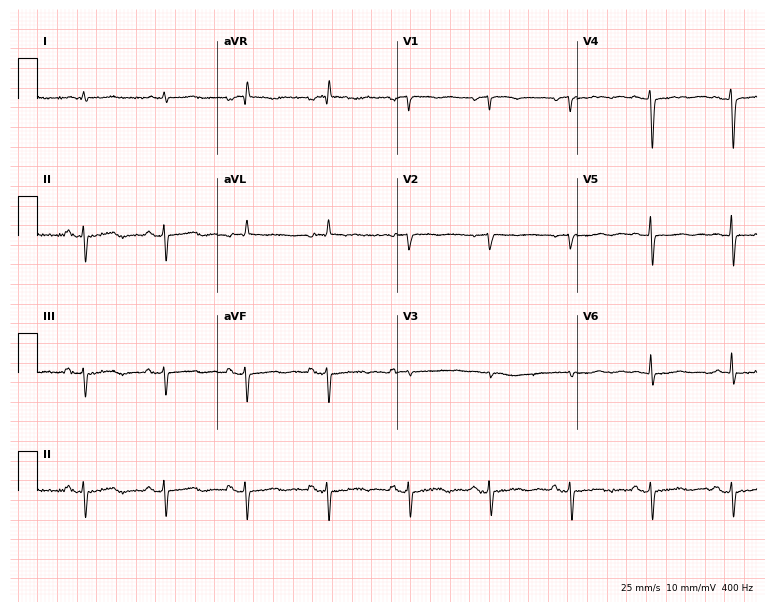
Electrocardiogram (7.3-second recording at 400 Hz), a man, 81 years old. Of the six screened findings (first-degree AV block, right bundle branch block, left bundle branch block, sinus bradycardia, atrial fibrillation, sinus tachycardia), none is recorded.